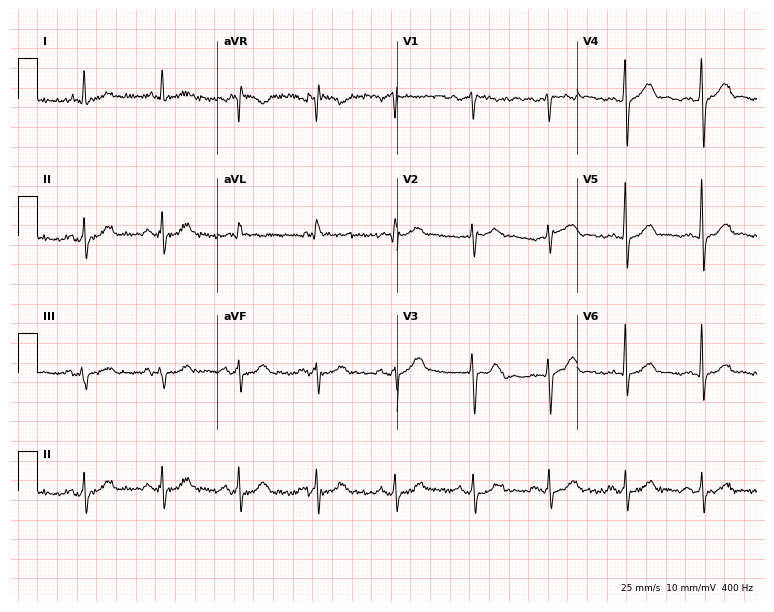
Resting 12-lead electrocardiogram (7.3-second recording at 400 Hz). Patient: a 58-year-old male. None of these six findings is recorded: first-degree AV block, right bundle branch block (RBBB), left bundle branch block (LBBB), sinus bradycardia, atrial fibrillation (AF), sinus tachycardia. Only these six findings were labelled.